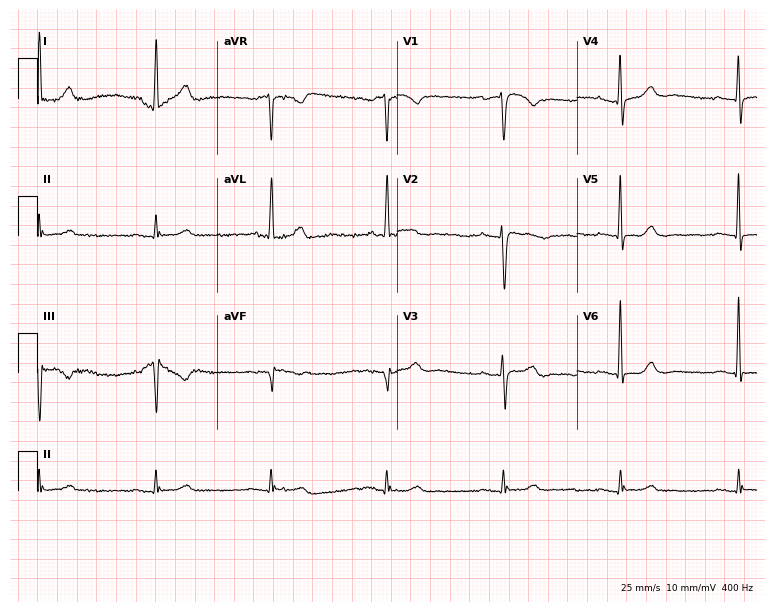
12-lead ECG from a woman, 81 years old. Labelled as a normal ECG.